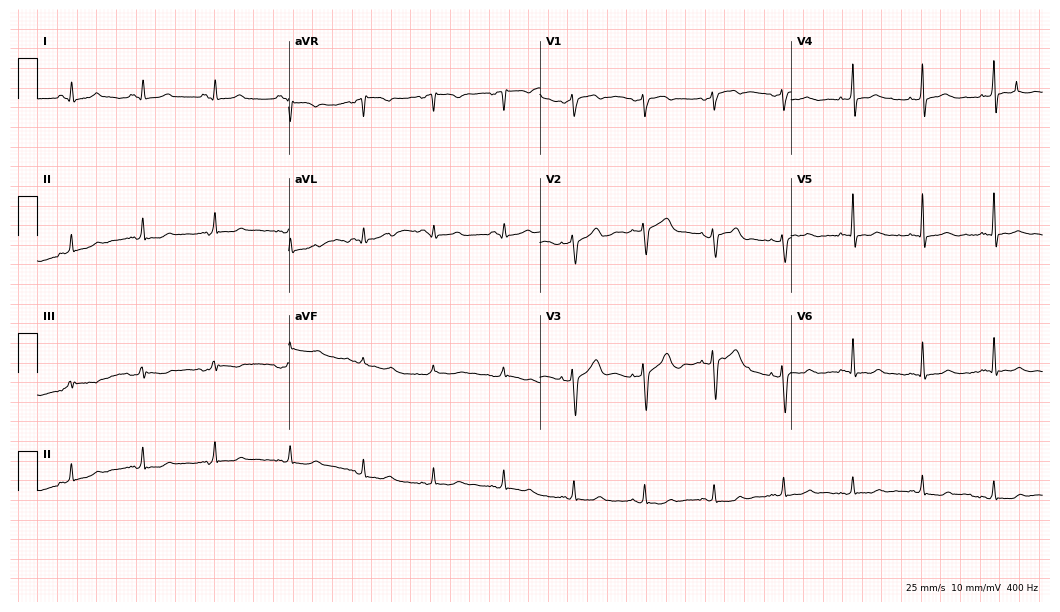
Resting 12-lead electrocardiogram (10.2-second recording at 400 Hz). Patient: a 42-year-old woman. None of these six findings is recorded: first-degree AV block, right bundle branch block, left bundle branch block, sinus bradycardia, atrial fibrillation, sinus tachycardia.